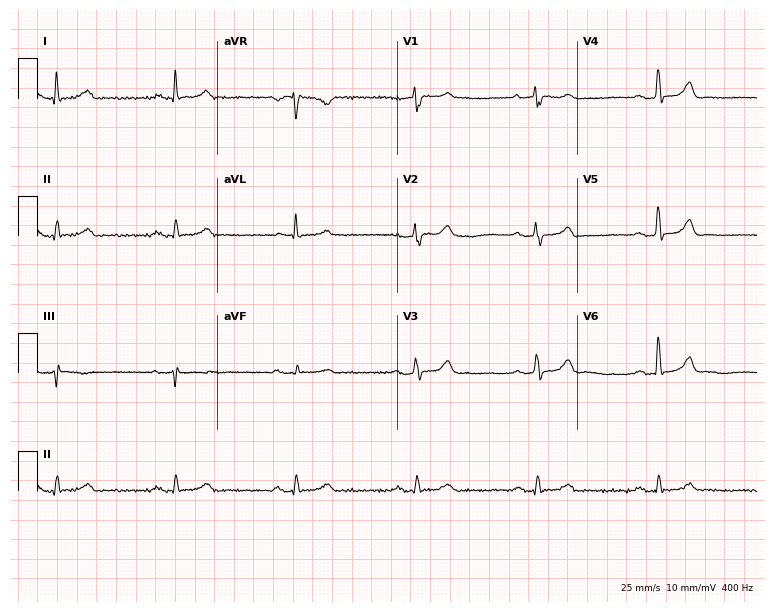
12-lead ECG from a female, 71 years old. Findings include sinus bradycardia (a sinus rate of 50 beats per minute or less).